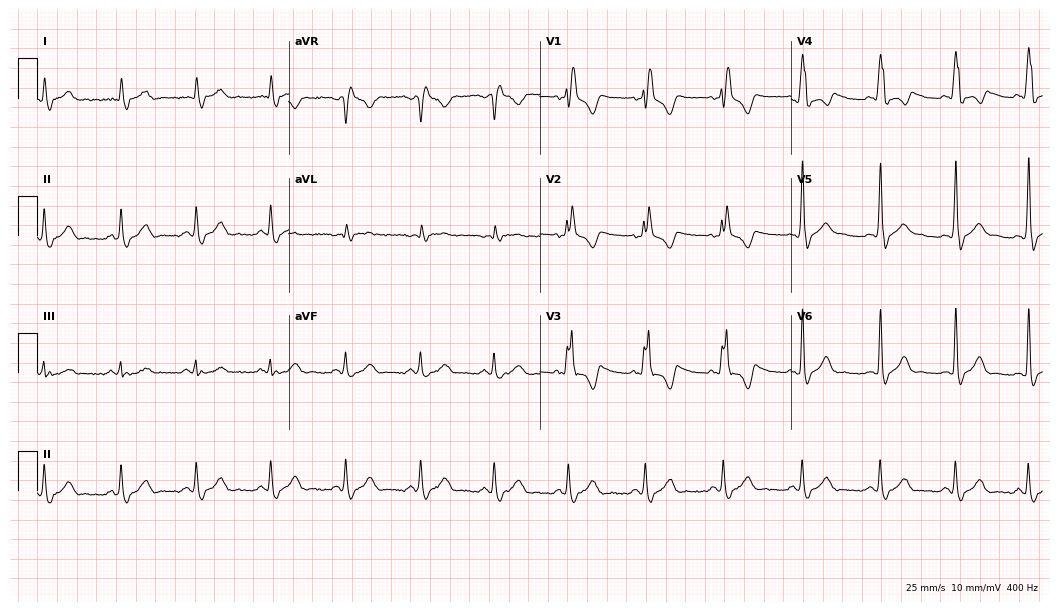
ECG (10.2-second recording at 400 Hz) — a 35-year-old male. Findings include right bundle branch block.